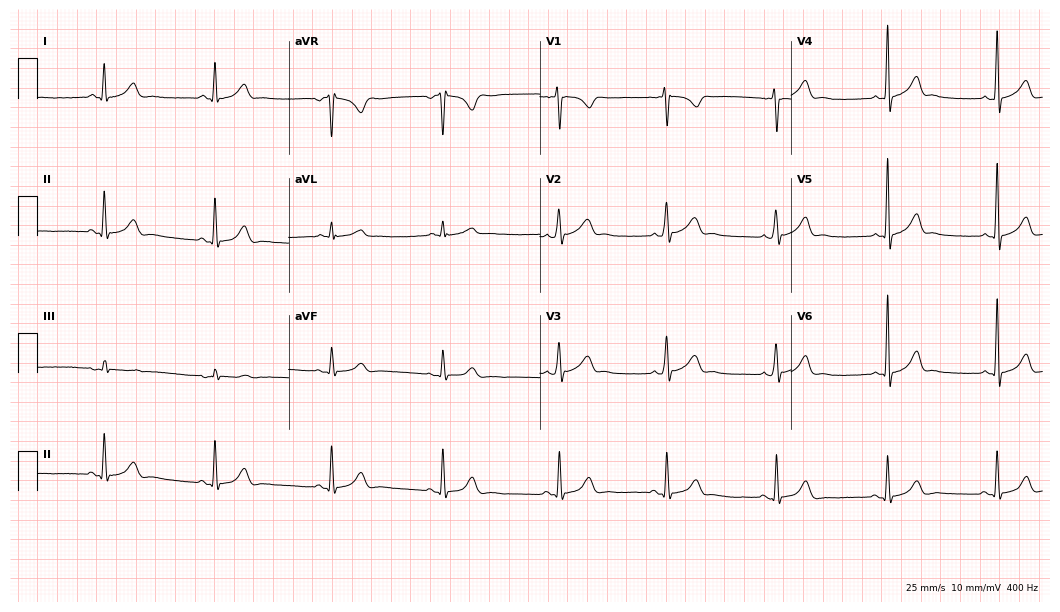
Resting 12-lead electrocardiogram. Patient: a 24-year-old man. Read as a normal ECG.